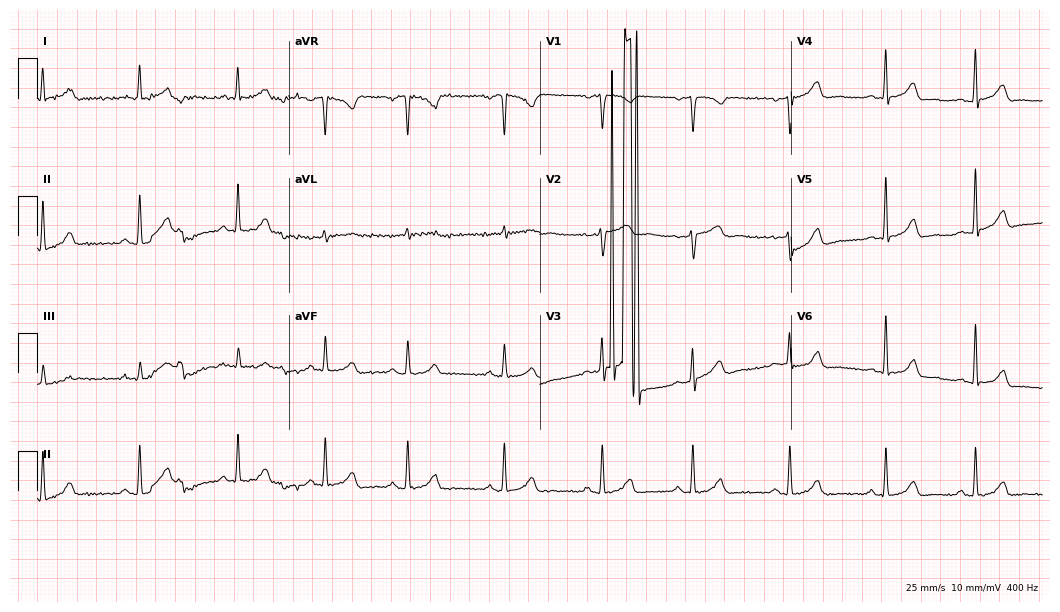
Electrocardiogram, a 34-year-old woman. Of the six screened findings (first-degree AV block, right bundle branch block (RBBB), left bundle branch block (LBBB), sinus bradycardia, atrial fibrillation (AF), sinus tachycardia), none is recorded. Other findings, if any, are not listed.